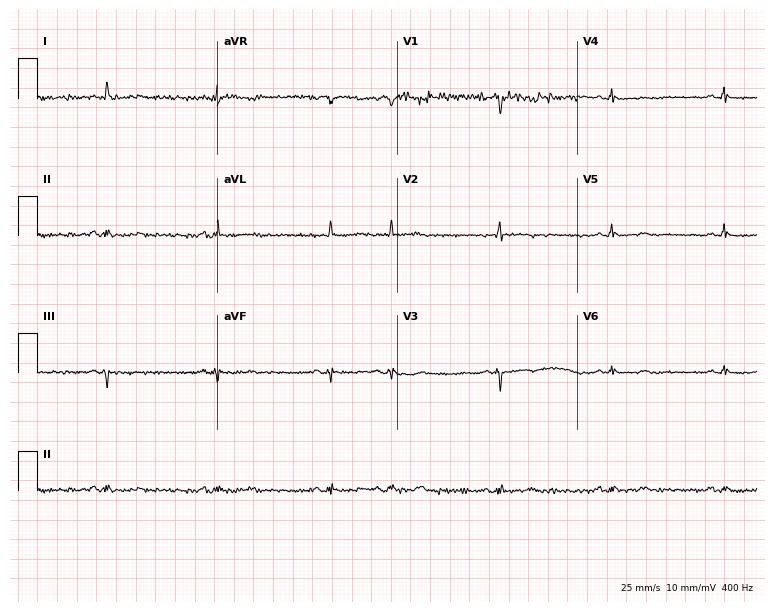
Electrocardiogram (7.3-second recording at 400 Hz), an 83-year-old male patient. Of the six screened findings (first-degree AV block, right bundle branch block (RBBB), left bundle branch block (LBBB), sinus bradycardia, atrial fibrillation (AF), sinus tachycardia), none is recorded. Other findings, if any, are not listed.